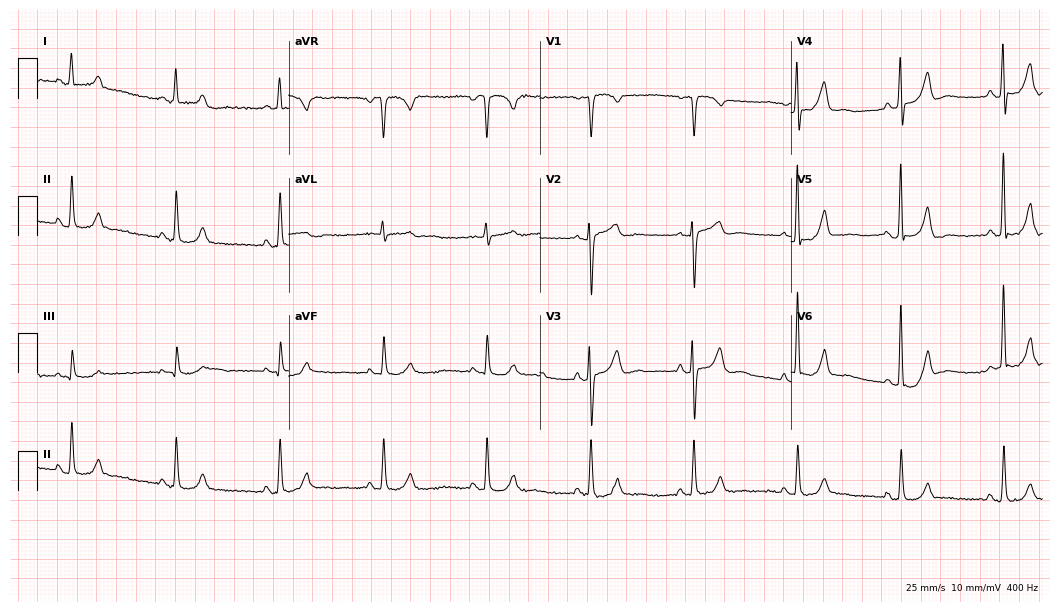
12-lead ECG (10.2-second recording at 400 Hz) from a male, 69 years old. Labelled as a normal ECG.